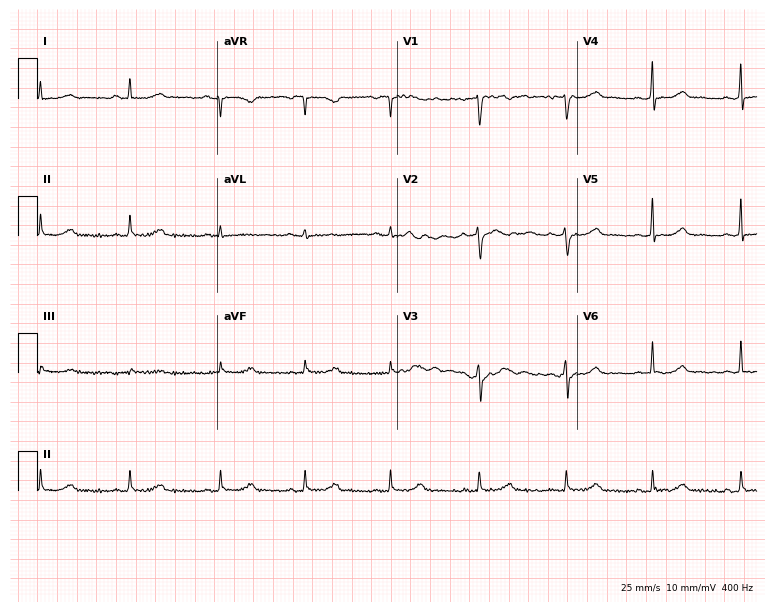
ECG (7.3-second recording at 400 Hz) — a 37-year-old female. Screened for six findings — first-degree AV block, right bundle branch block (RBBB), left bundle branch block (LBBB), sinus bradycardia, atrial fibrillation (AF), sinus tachycardia — none is recorded.